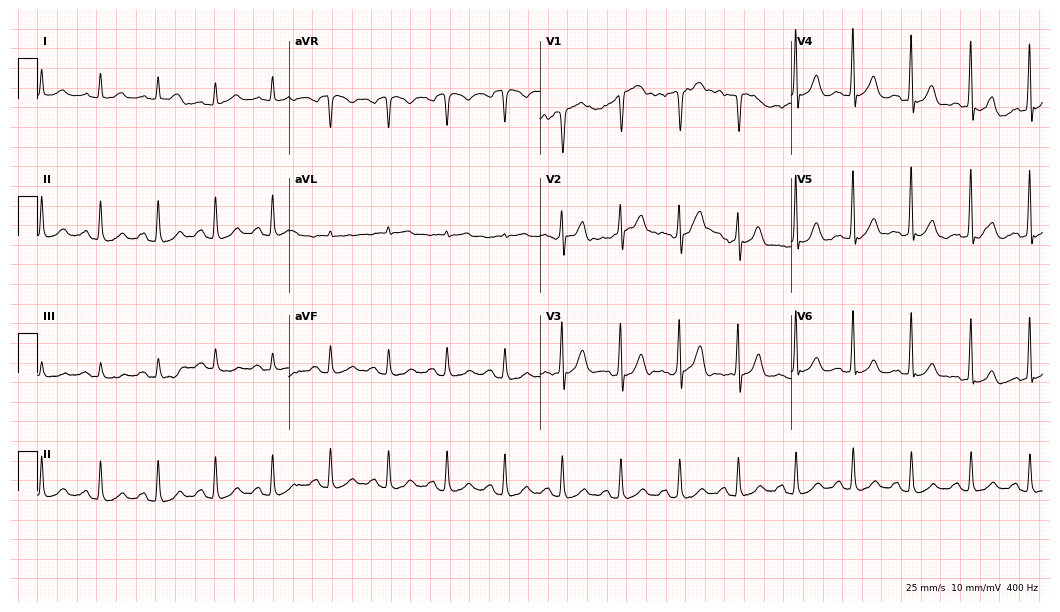
Standard 12-lead ECG recorded from a 69-year-old male patient (10.2-second recording at 400 Hz). None of these six findings is recorded: first-degree AV block, right bundle branch block, left bundle branch block, sinus bradycardia, atrial fibrillation, sinus tachycardia.